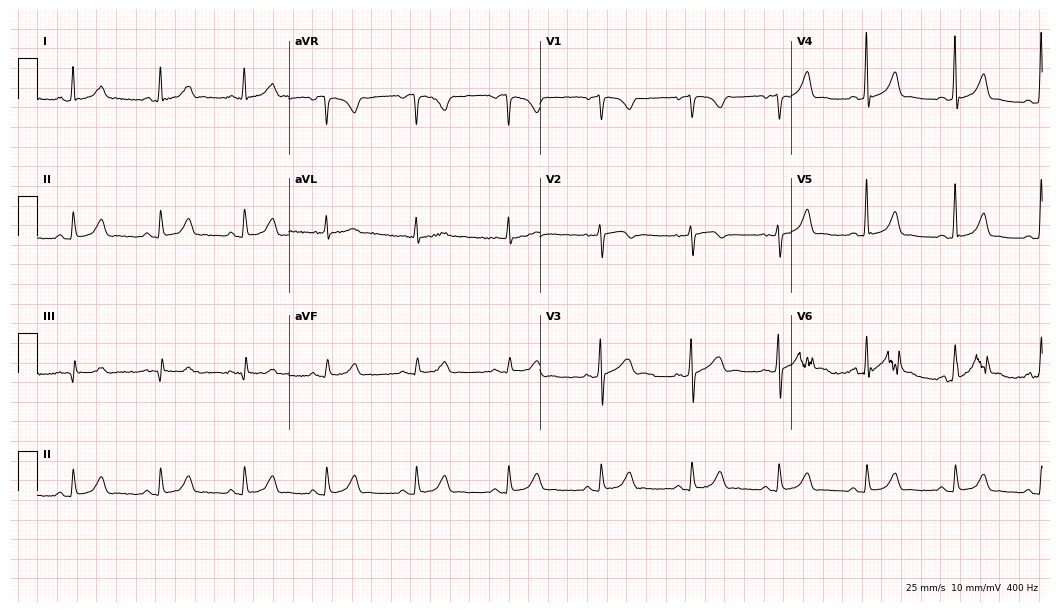
Standard 12-lead ECG recorded from a 55-year-old female (10.2-second recording at 400 Hz). Read as a normal ECG.